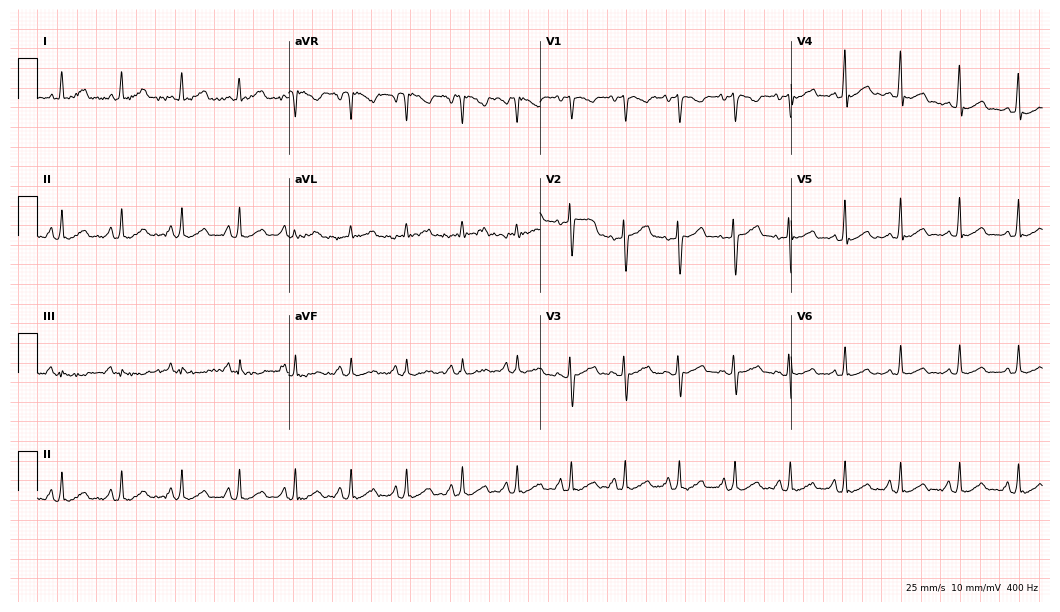
ECG (10.2-second recording at 400 Hz) — a female patient, 24 years old. Screened for six findings — first-degree AV block, right bundle branch block (RBBB), left bundle branch block (LBBB), sinus bradycardia, atrial fibrillation (AF), sinus tachycardia — none is recorded. Other findings, if any, are not listed.